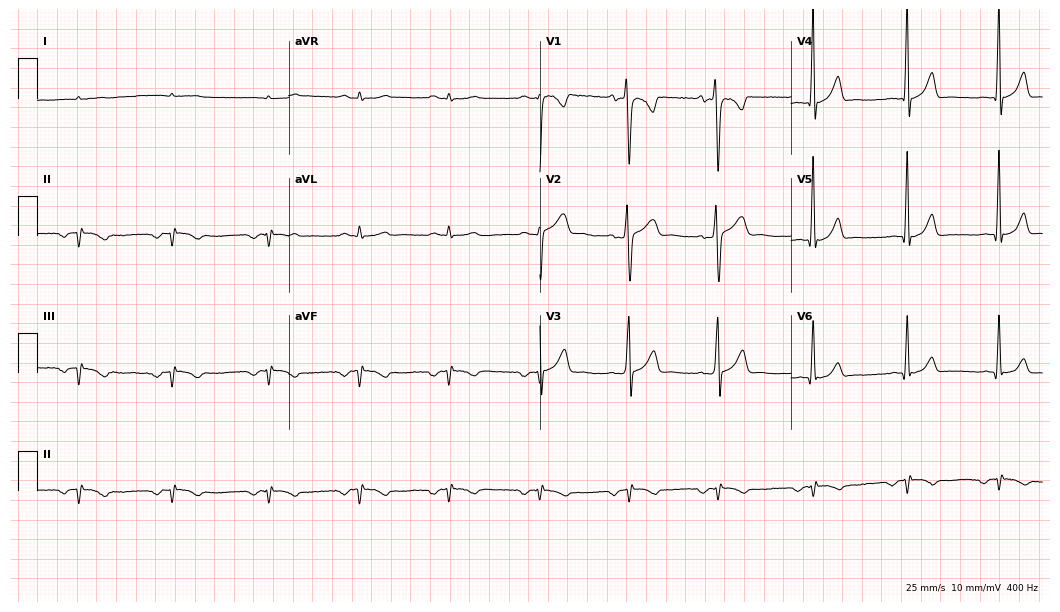
Resting 12-lead electrocardiogram. Patient: a 25-year-old man. None of these six findings is recorded: first-degree AV block, right bundle branch block, left bundle branch block, sinus bradycardia, atrial fibrillation, sinus tachycardia. Findings outside these six are not listed.